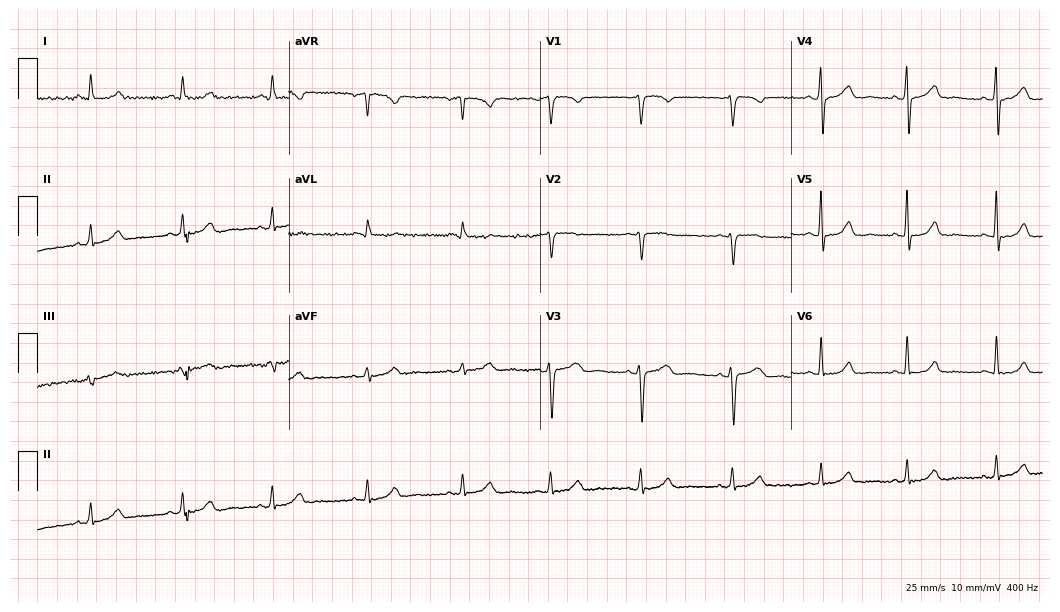
Electrocardiogram, a 45-year-old female. Overall reading on record: normal ECG.